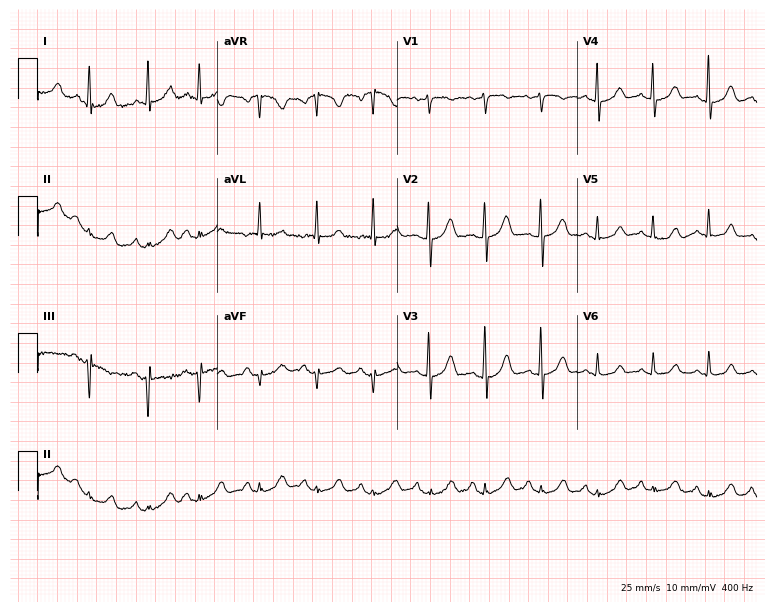
ECG (7.3-second recording at 400 Hz) — a 62-year-old female patient. Labelled as a normal ECG.